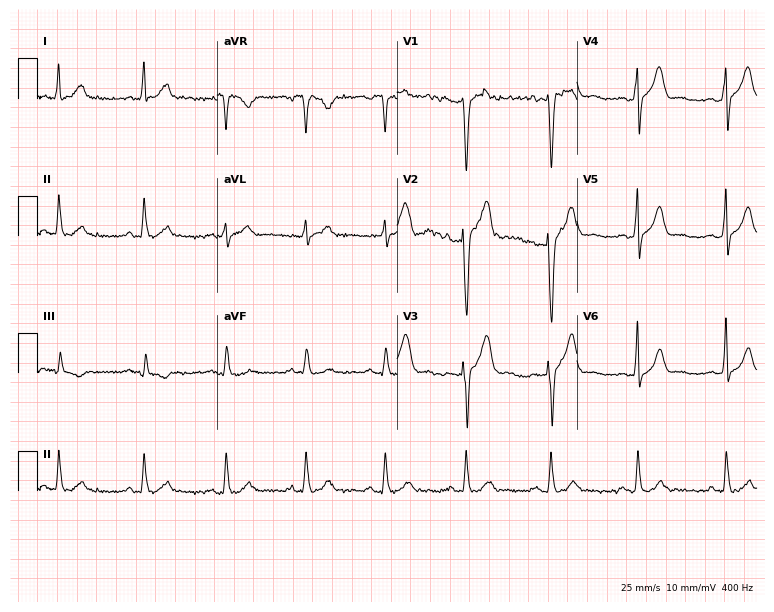
Standard 12-lead ECG recorded from a man, 41 years old. None of these six findings is recorded: first-degree AV block, right bundle branch block (RBBB), left bundle branch block (LBBB), sinus bradycardia, atrial fibrillation (AF), sinus tachycardia. Only these six findings were labelled.